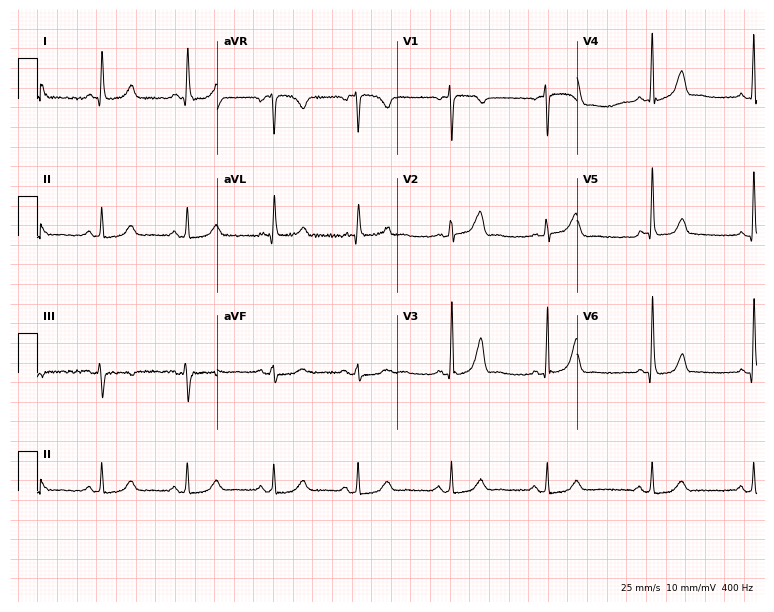
Standard 12-lead ECG recorded from a 55-year-old female. None of these six findings is recorded: first-degree AV block, right bundle branch block, left bundle branch block, sinus bradycardia, atrial fibrillation, sinus tachycardia. Findings outside these six are not listed.